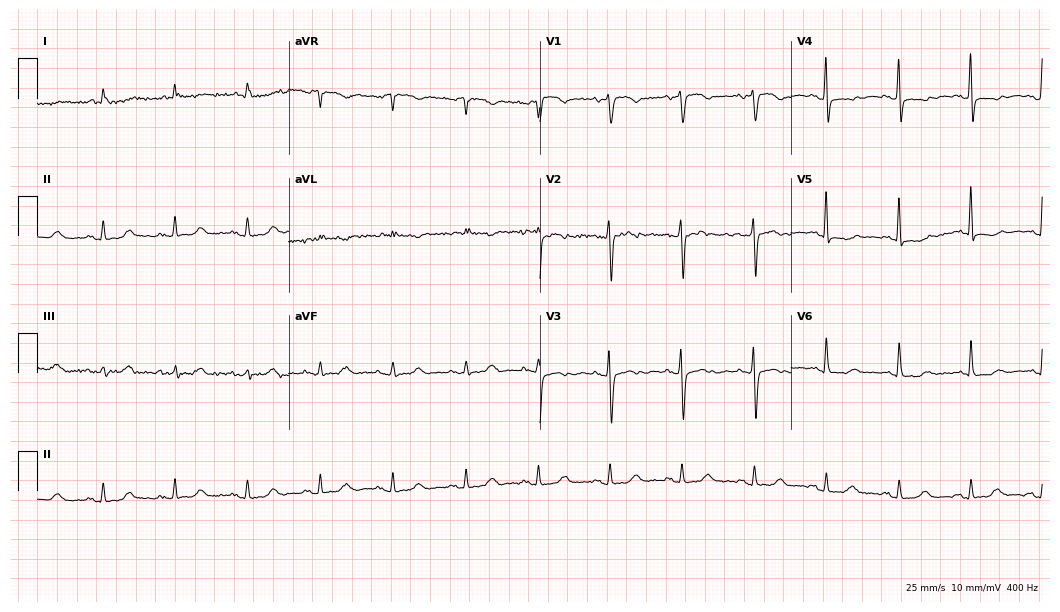
Resting 12-lead electrocardiogram. Patient: a woman, 78 years old. None of these six findings is recorded: first-degree AV block, right bundle branch block, left bundle branch block, sinus bradycardia, atrial fibrillation, sinus tachycardia.